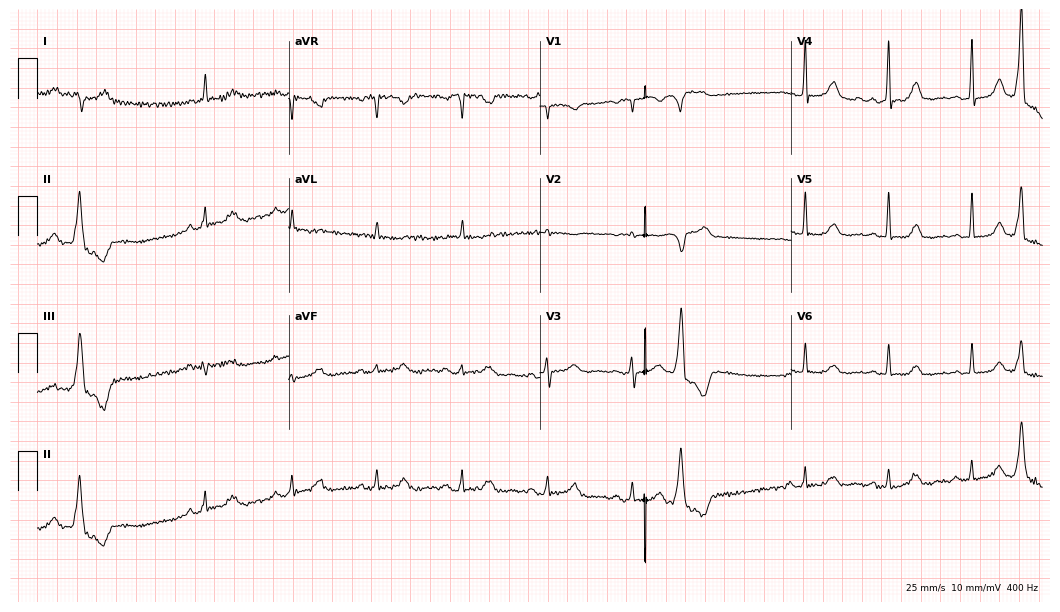
12-lead ECG from a female patient, 71 years old. Screened for six findings — first-degree AV block, right bundle branch block, left bundle branch block, sinus bradycardia, atrial fibrillation, sinus tachycardia — none is recorded.